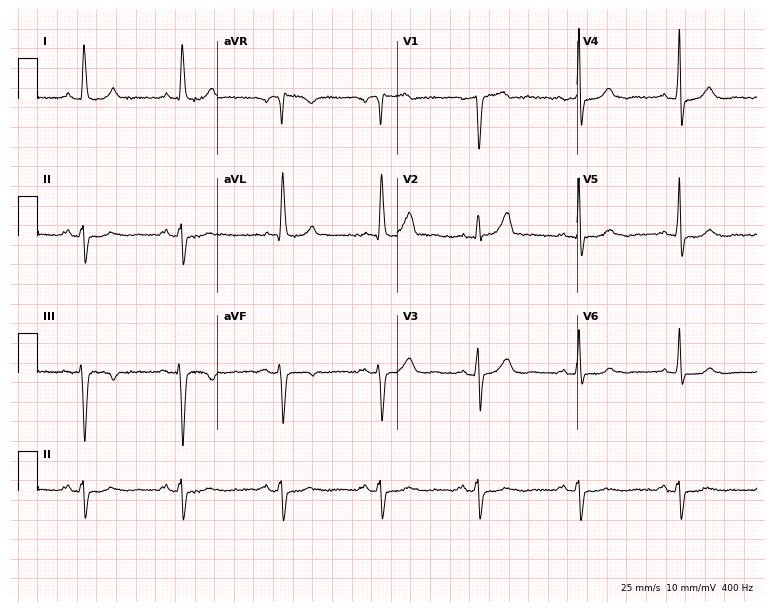
12-lead ECG from a 74-year-old female patient. No first-degree AV block, right bundle branch block, left bundle branch block, sinus bradycardia, atrial fibrillation or sinus tachycardia recorded for this tracing.